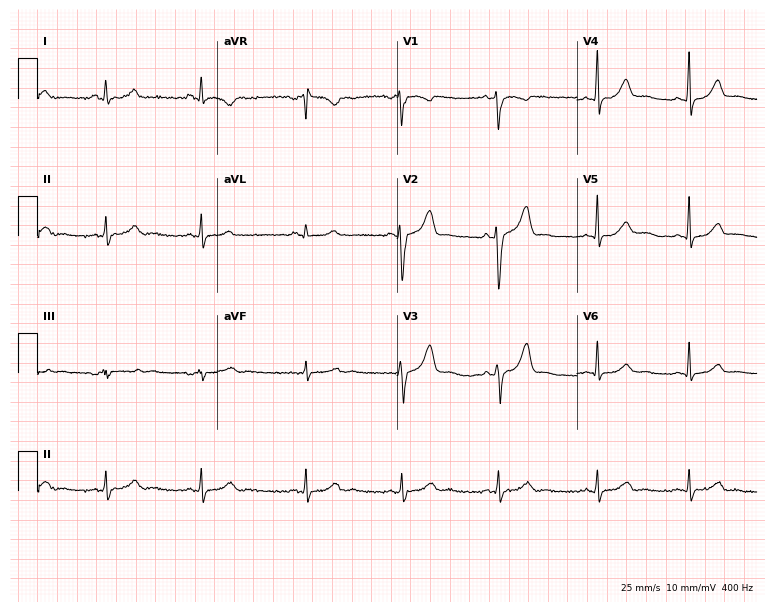
12-lead ECG from a 29-year-old female patient (7.3-second recording at 400 Hz). No first-degree AV block, right bundle branch block (RBBB), left bundle branch block (LBBB), sinus bradycardia, atrial fibrillation (AF) or sinus tachycardia recorded for this tracing. Findings outside these six are not listed.